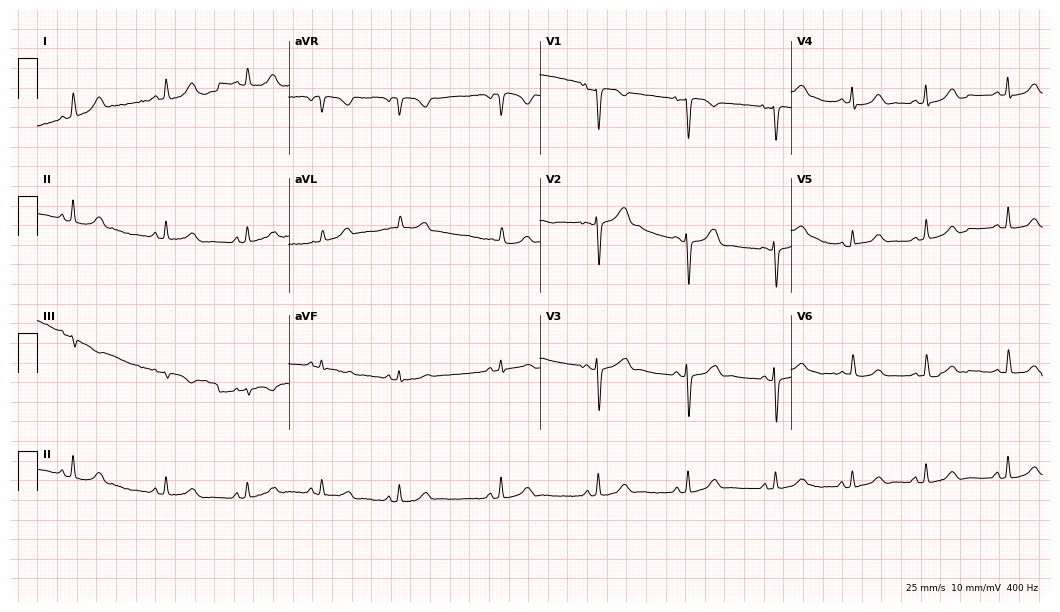
ECG — a 29-year-old female patient. Screened for six findings — first-degree AV block, right bundle branch block (RBBB), left bundle branch block (LBBB), sinus bradycardia, atrial fibrillation (AF), sinus tachycardia — none is recorded. Other findings, if any, are not listed.